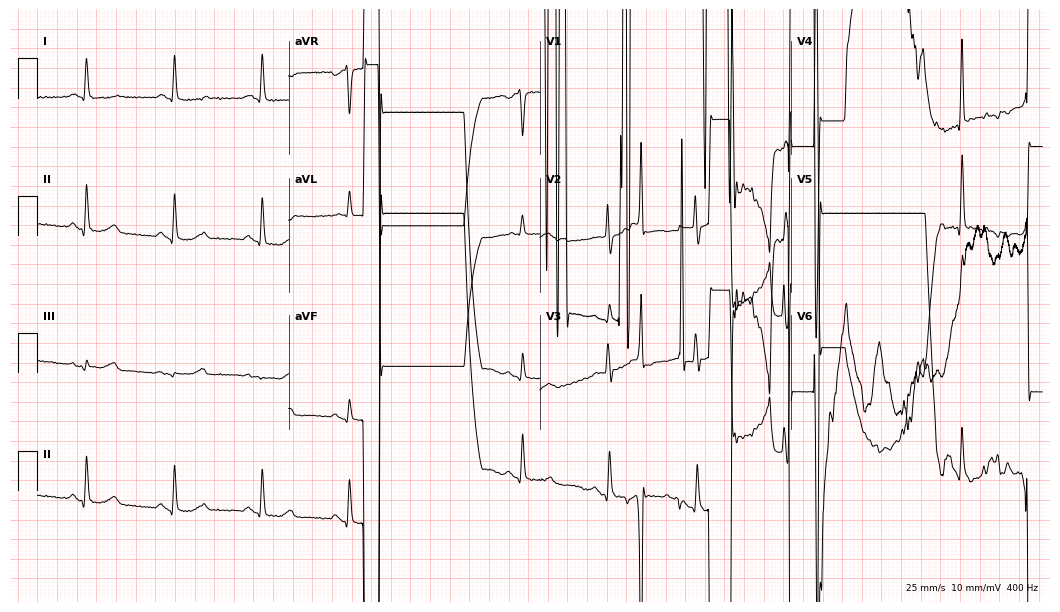
ECG — a woman, 59 years old. Screened for six findings — first-degree AV block, right bundle branch block (RBBB), left bundle branch block (LBBB), sinus bradycardia, atrial fibrillation (AF), sinus tachycardia — none is recorded.